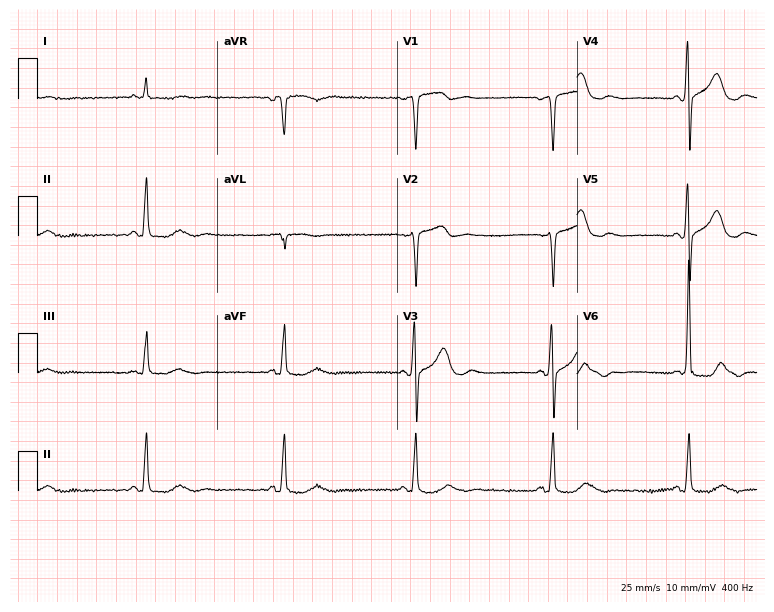
Electrocardiogram (7.3-second recording at 400 Hz), an 85-year-old male patient. Interpretation includes sinus bradycardia (a sinus rate of 50 beats per minute or less).